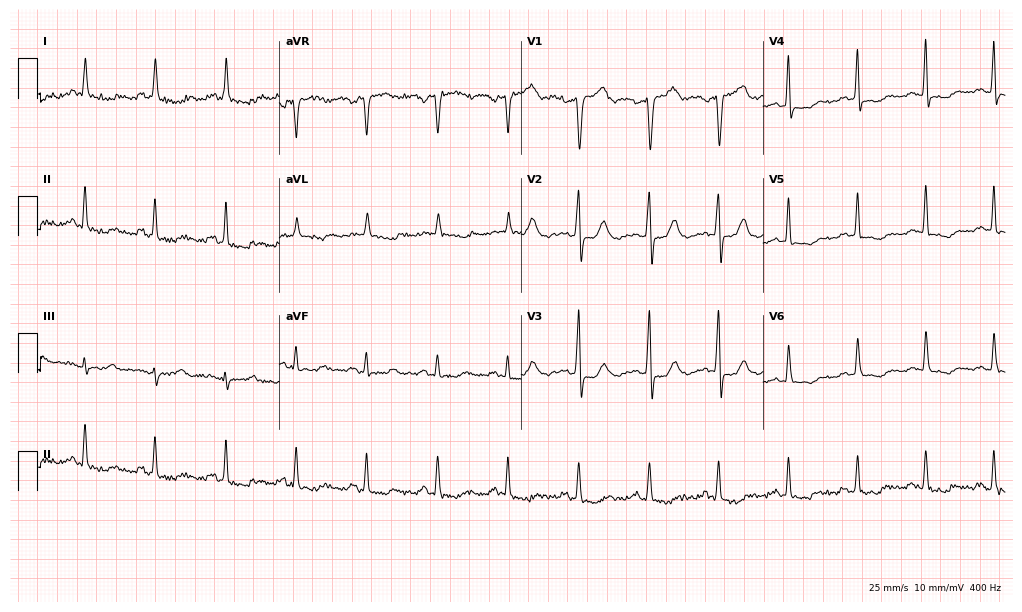
Standard 12-lead ECG recorded from an 80-year-old woman. None of these six findings is recorded: first-degree AV block, right bundle branch block, left bundle branch block, sinus bradycardia, atrial fibrillation, sinus tachycardia. Findings outside these six are not listed.